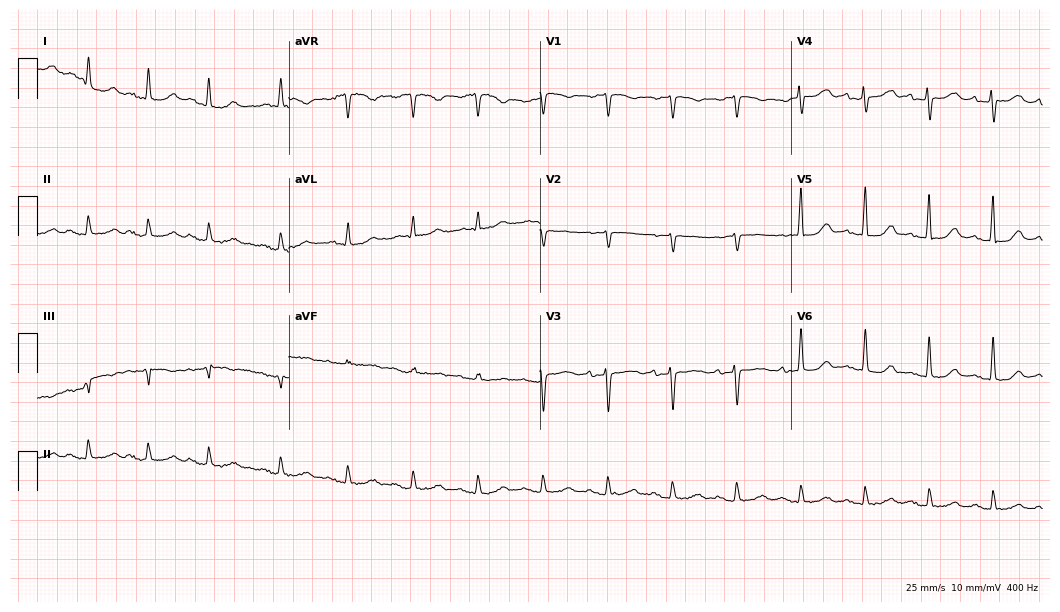
12-lead ECG from a female, 83 years old (10.2-second recording at 400 Hz). Recorded interpretation: within normal limits.